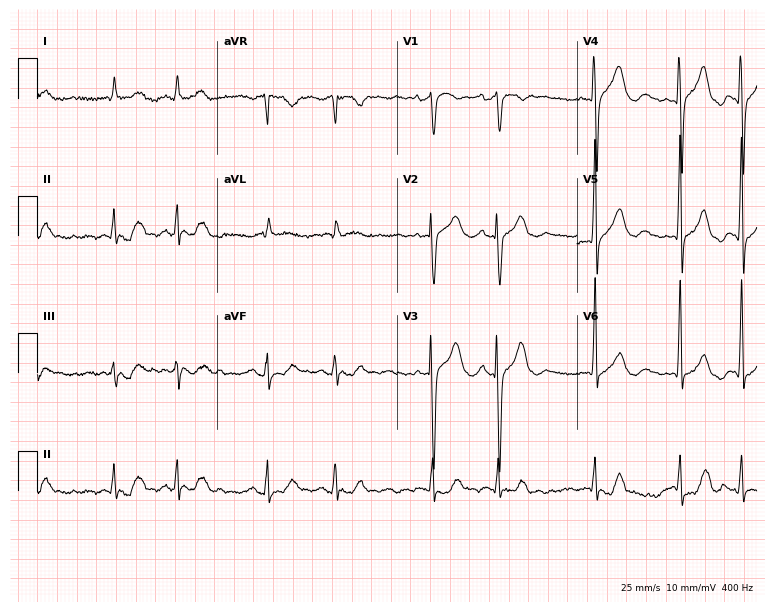
ECG (7.3-second recording at 400 Hz) — a 79-year-old man. Screened for six findings — first-degree AV block, right bundle branch block (RBBB), left bundle branch block (LBBB), sinus bradycardia, atrial fibrillation (AF), sinus tachycardia — none is recorded.